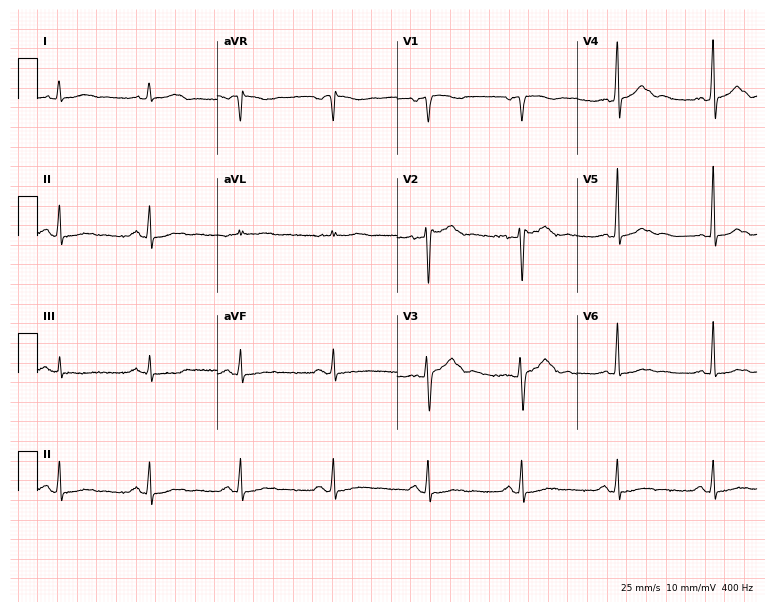
Standard 12-lead ECG recorded from a 54-year-old male patient (7.3-second recording at 400 Hz). None of these six findings is recorded: first-degree AV block, right bundle branch block, left bundle branch block, sinus bradycardia, atrial fibrillation, sinus tachycardia. Findings outside these six are not listed.